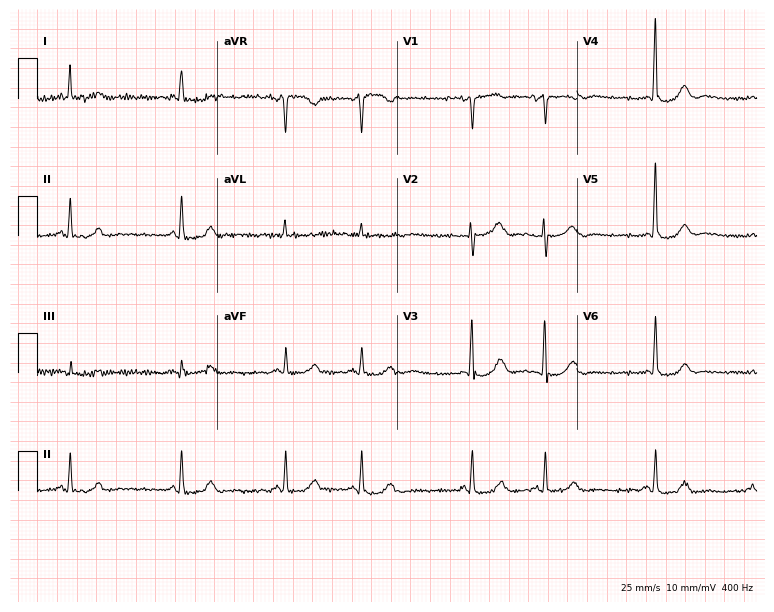
Electrocardiogram, an 81-year-old female. Of the six screened findings (first-degree AV block, right bundle branch block (RBBB), left bundle branch block (LBBB), sinus bradycardia, atrial fibrillation (AF), sinus tachycardia), none is recorded.